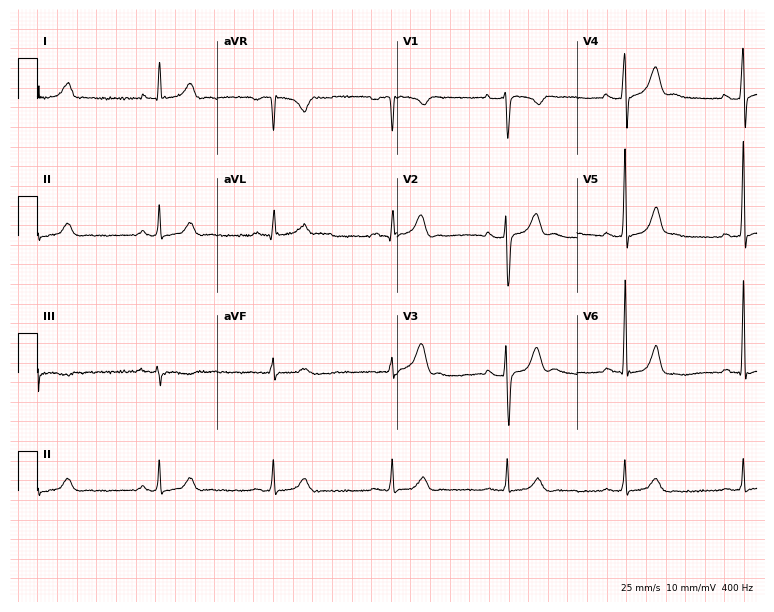
Standard 12-lead ECG recorded from a 39-year-old male (7.3-second recording at 400 Hz). The tracing shows sinus bradycardia (a sinus rate of 50 beats per minute or less).